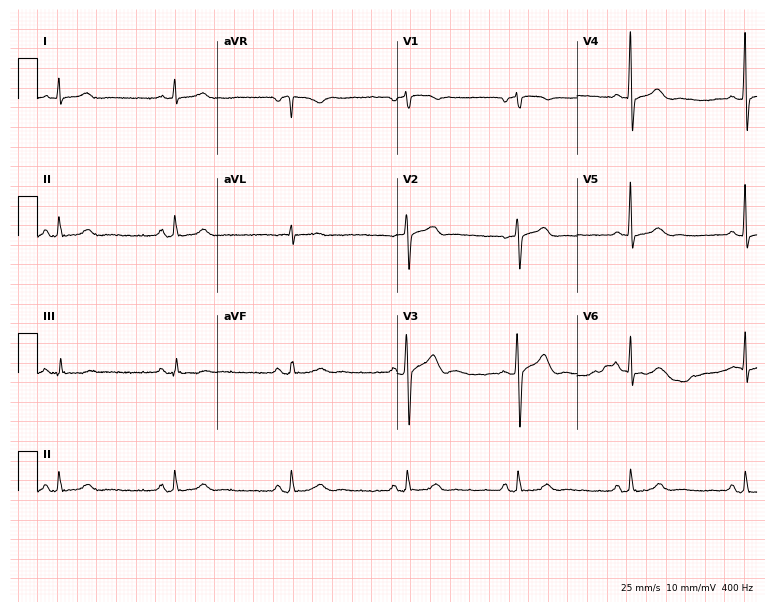
12-lead ECG from a 64-year-old man (7.3-second recording at 400 Hz). Recorded interpretation: within normal limits.